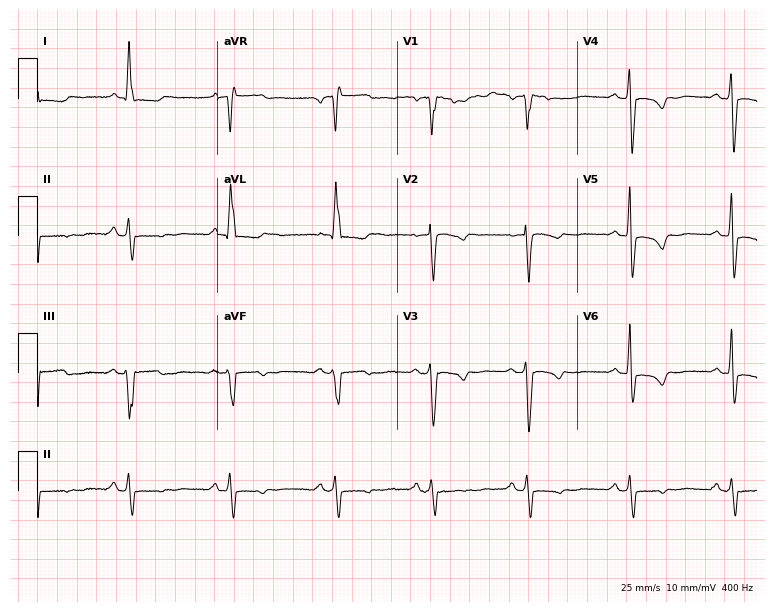
Resting 12-lead electrocardiogram (7.3-second recording at 400 Hz). Patient: a woman, 75 years old. None of these six findings is recorded: first-degree AV block, right bundle branch block, left bundle branch block, sinus bradycardia, atrial fibrillation, sinus tachycardia.